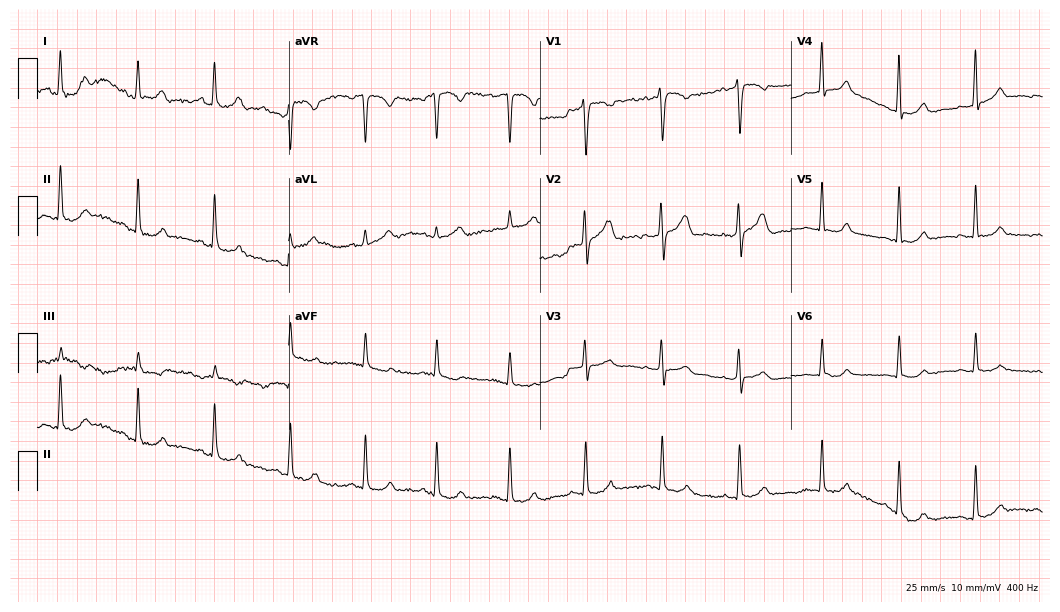
12-lead ECG from a female, 47 years old. Recorded interpretation: within normal limits.